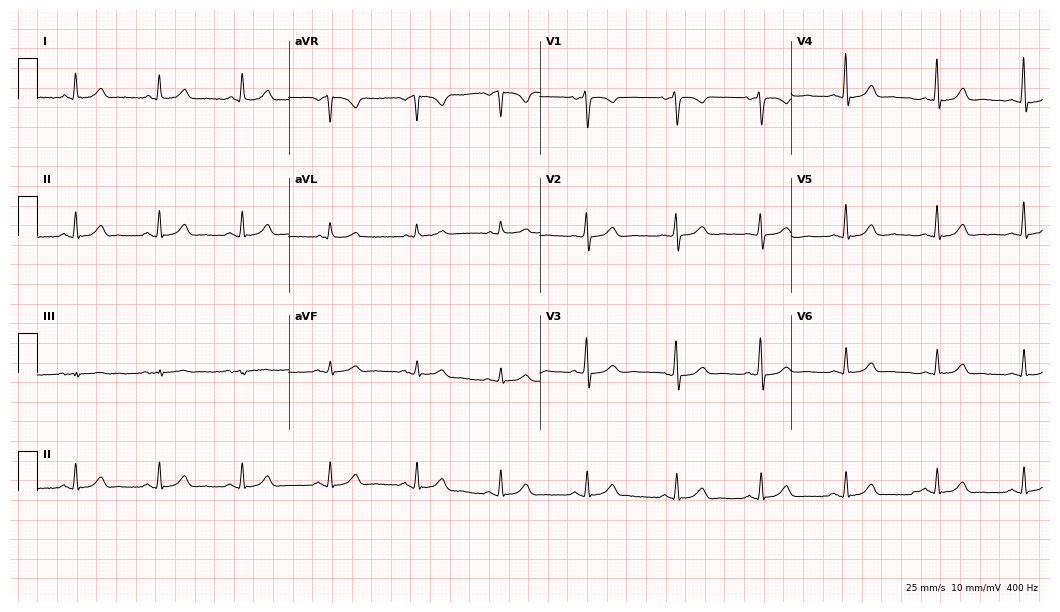
Electrocardiogram (10.2-second recording at 400 Hz), a female, 51 years old. Overall reading on record: normal ECG.